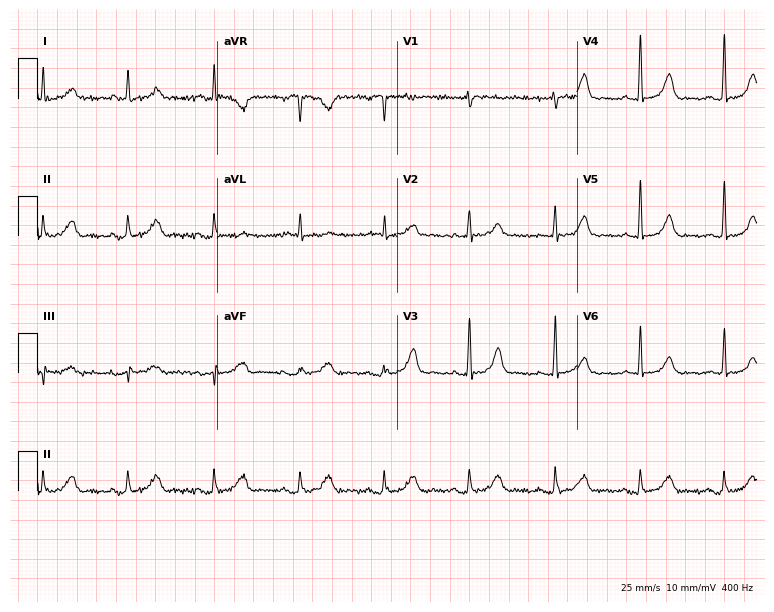
12-lead ECG (7.3-second recording at 400 Hz) from a female, 62 years old. Screened for six findings — first-degree AV block, right bundle branch block, left bundle branch block, sinus bradycardia, atrial fibrillation, sinus tachycardia — none is recorded.